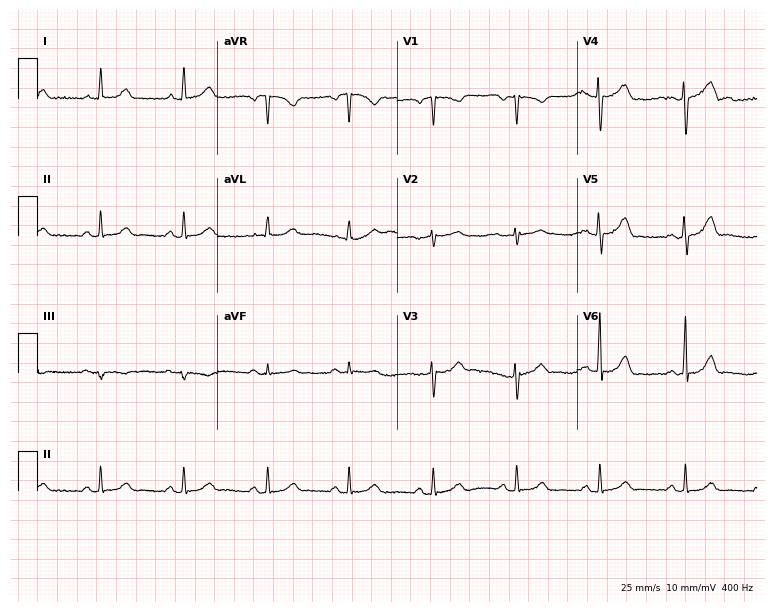
Electrocardiogram, a male, 52 years old. Overall reading on record: normal ECG.